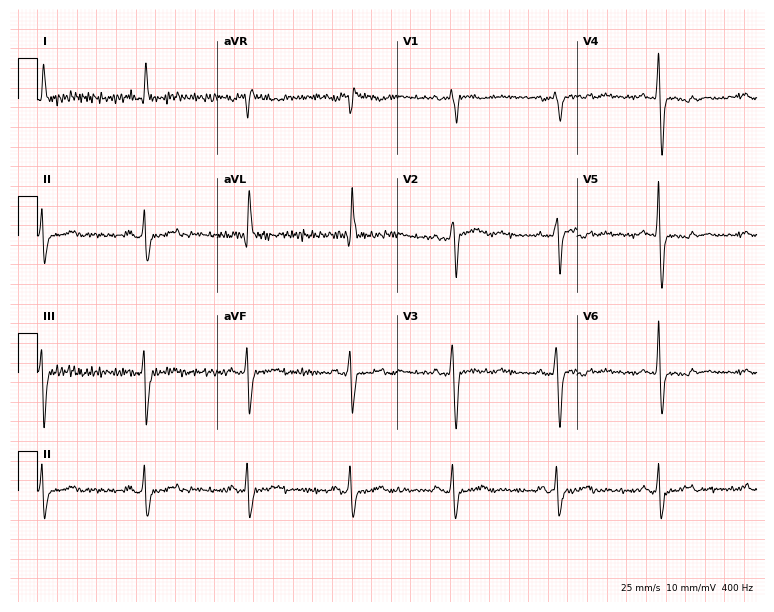
ECG (7.3-second recording at 400 Hz) — a 65-year-old male. Screened for six findings — first-degree AV block, right bundle branch block, left bundle branch block, sinus bradycardia, atrial fibrillation, sinus tachycardia — none is recorded.